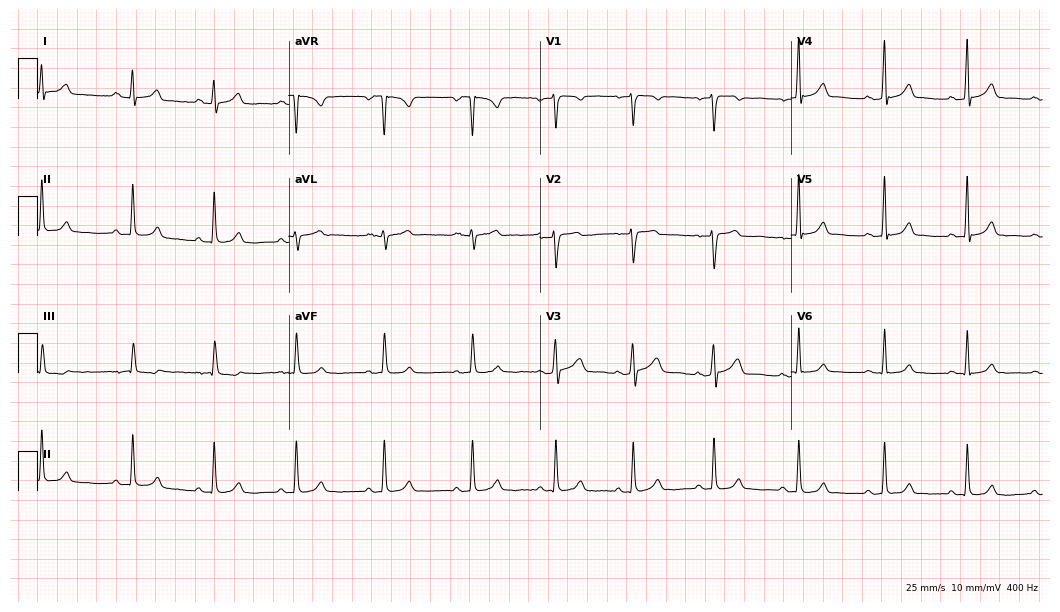
Standard 12-lead ECG recorded from a woman, 38 years old (10.2-second recording at 400 Hz). None of these six findings is recorded: first-degree AV block, right bundle branch block, left bundle branch block, sinus bradycardia, atrial fibrillation, sinus tachycardia. Other findings, if any, are not listed.